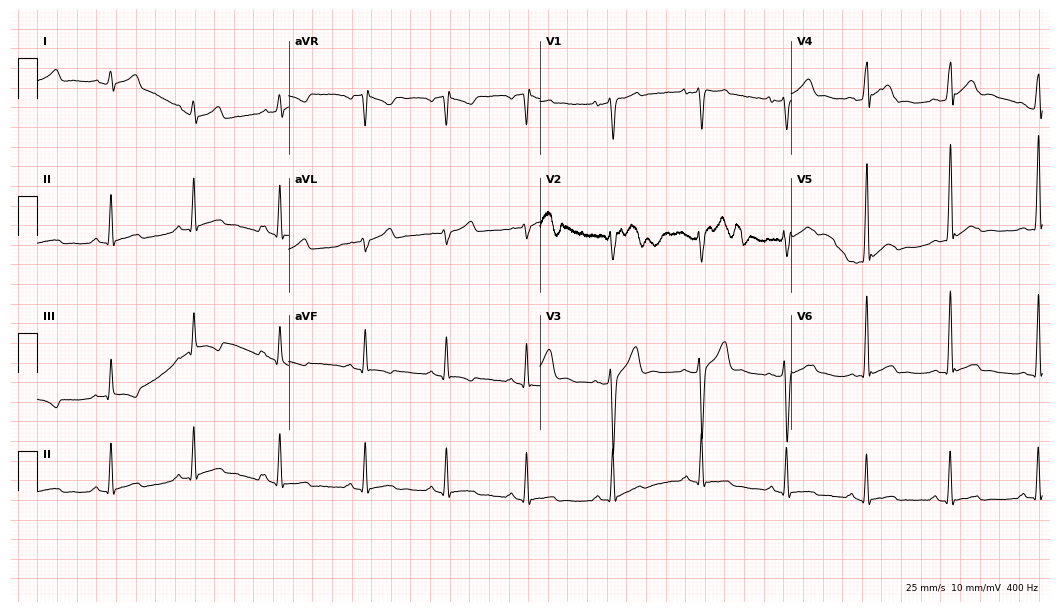
12-lead ECG from a 29-year-old man. No first-degree AV block, right bundle branch block (RBBB), left bundle branch block (LBBB), sinus bradycardia, atrial fibrillation (AF) or sinus tachycardia recorded for this tracing. Other findings, if any, are not listed.